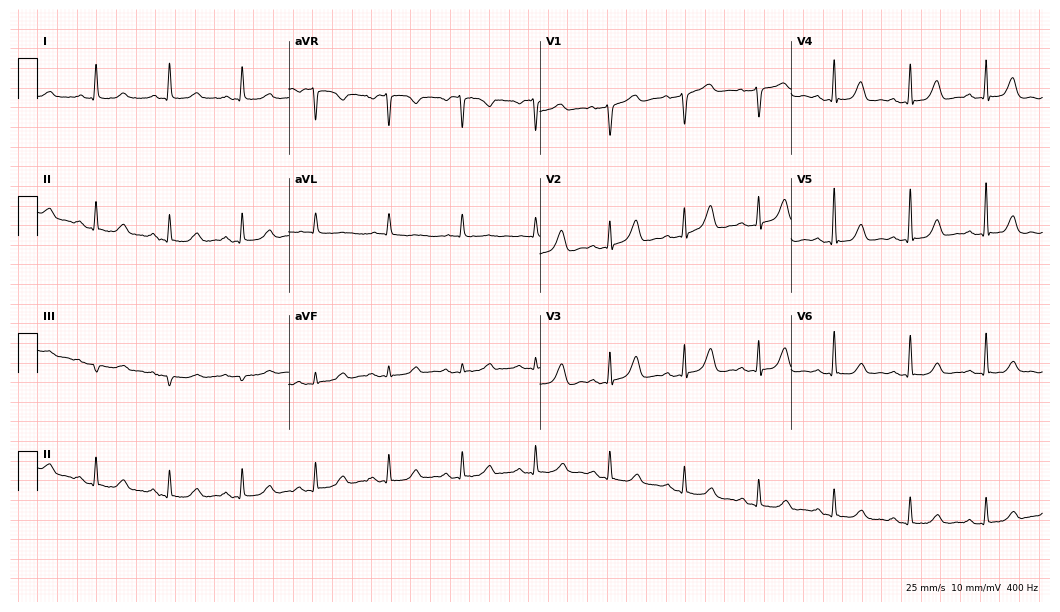
Standard 12-lead ECG recorded from a 57-year-old woman. Read as a normal ECG.